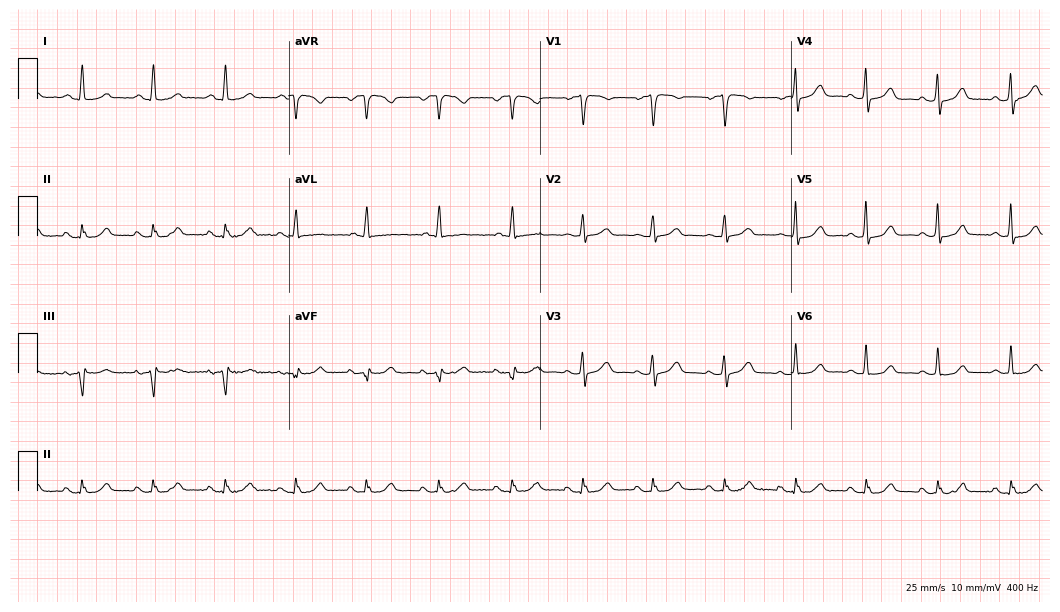
ECG (10.2-second recording at 400 Hz) — a female, 67 years old. Screened for six findings — first-degree AV block, right bundle branch block, left bundle branch block, sinus bradycardia, atrial fibrillation, sinus tachycardia — none is recorded.